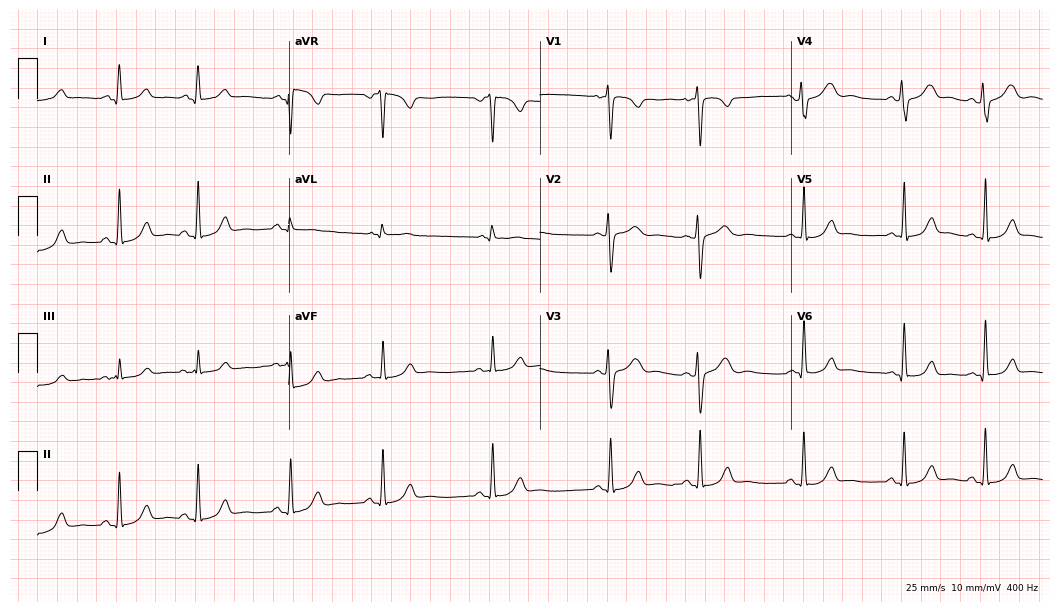
ECG (10.2-second recording at 400 Hz) — a 28-year-old female patient. Labelled as a normal ECG.